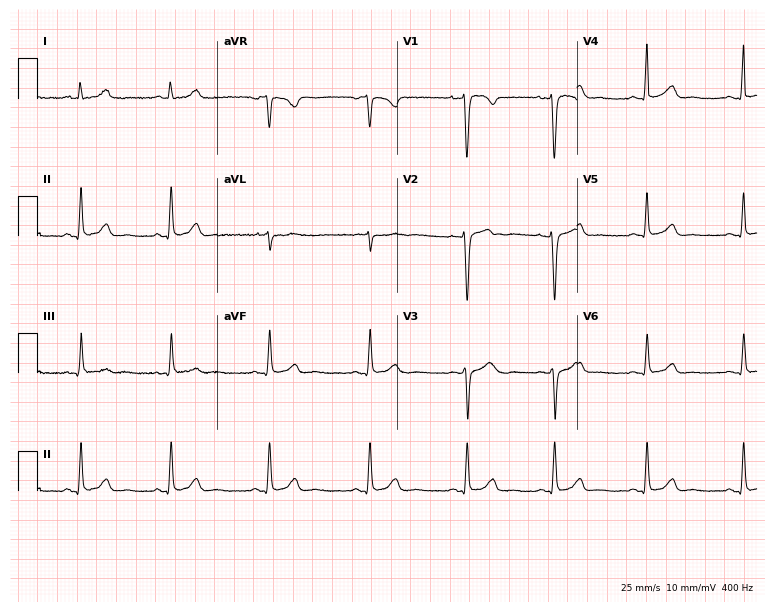
Standard 12-lead ECG recorded from a 32-year-old woman. Read as a normal ECG.